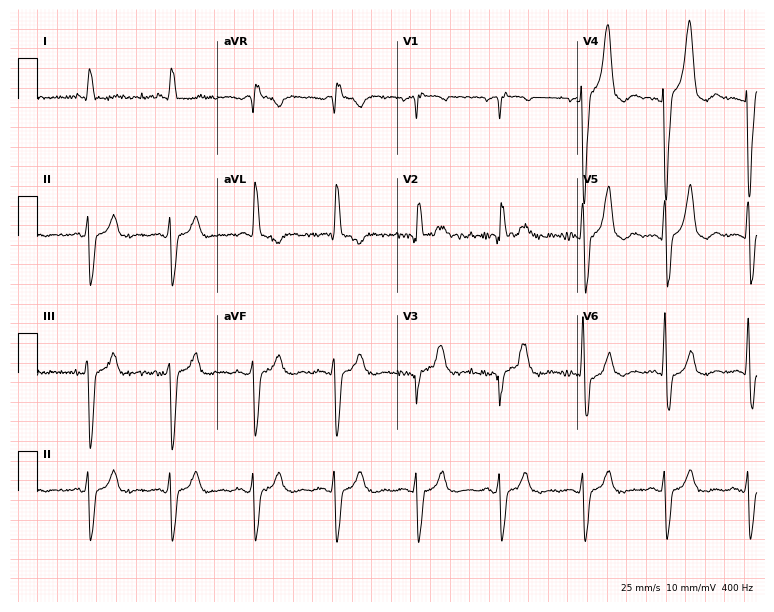
Standard 12-lead ECG recorded from an 84-year-old man. The tracing shows right bundle branch block (RBBB).